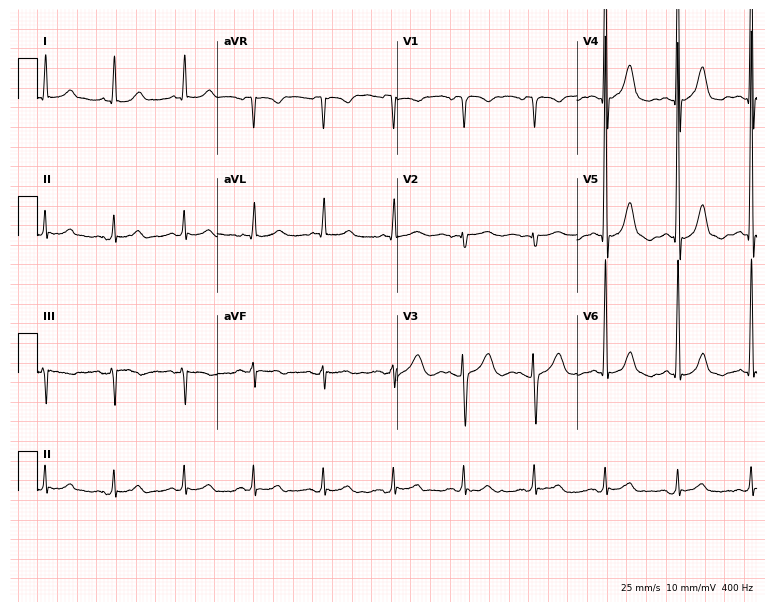
12-lead ECG (7.3-second recording at 400 Hz) from a 77-year-old male. Screened for six findings — first-degree AV block, right bundle branch block, left bundle branch block, sinus bradycardia, atrial fibrillation, sinus tachycardia — none is recorded. Other findings, if any, are not listed.